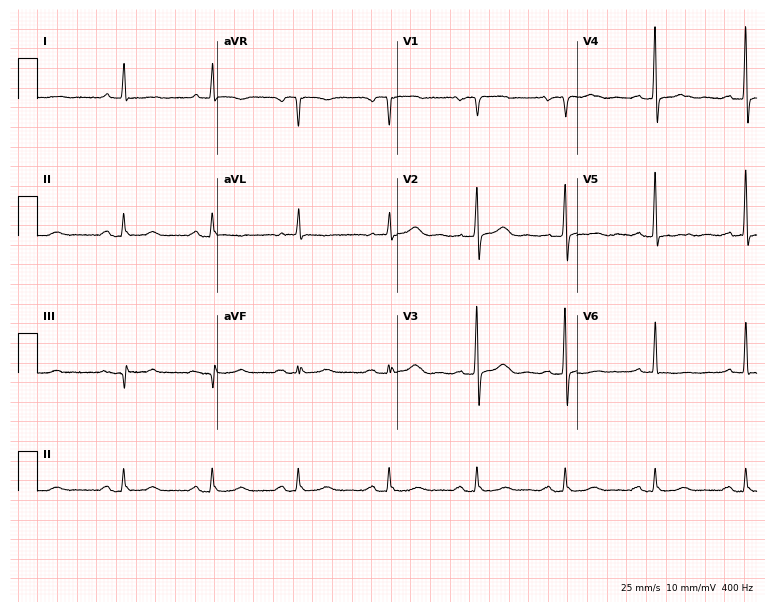
12-lead ECG from a 65-year-old woman. Screened for six findings — first-degree AV block, right bundle branch block (RBBB), left bundle branch block (LBBB), sinus bradycardia, atrial fibrillation (AF), sinus tachycardia — none is recorded. Findings outside these six are not listed.